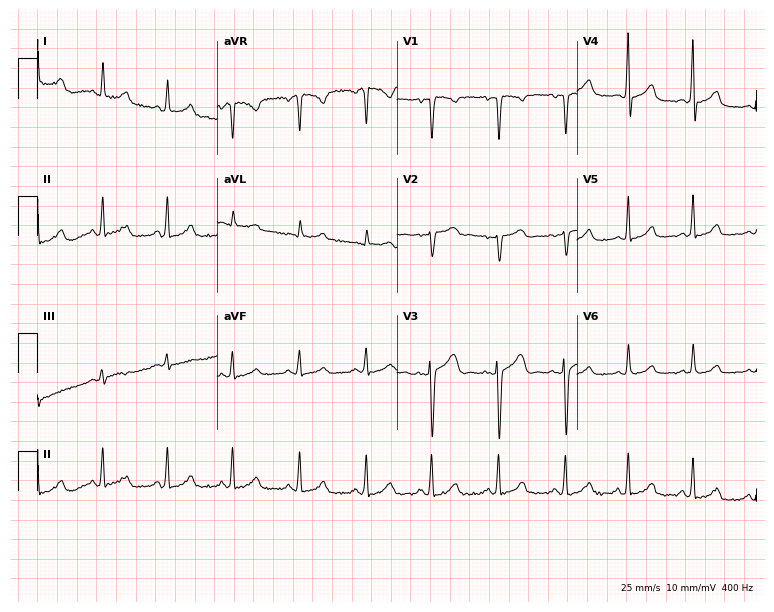
ECG (7.3-second recording at 400 Hz) — a female patient, 28 years old. Screened for six findings — first-degree AV block, right bundle branch block, left bundle branch block, sinus bradycardia, atrial fibrillation, sinus tachycardia — none is recorded.